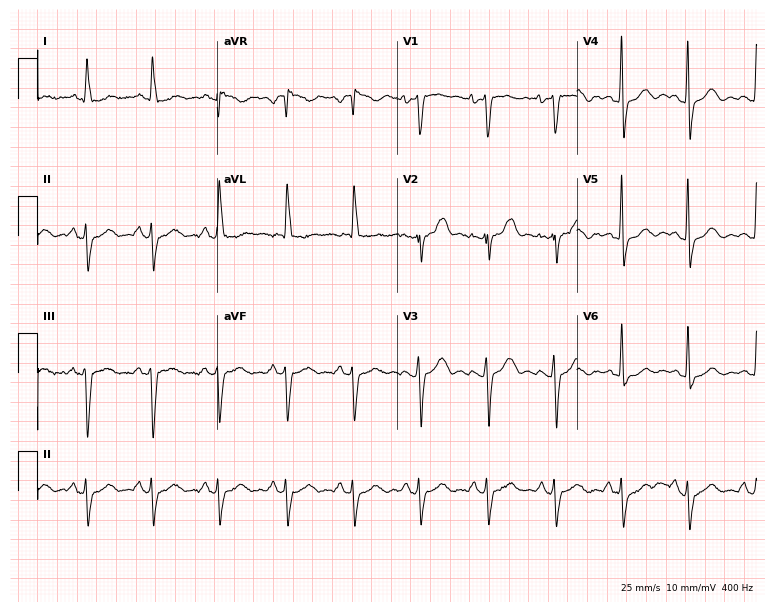
ECG — a female, 60 years old. Screened for six findings — first-degree AV block, right bundle branch block, left bundle branch block, sinus bradycardia, atrial fibrillation, sinus tachycardia — none is recorded. Only these six findings were labelled.